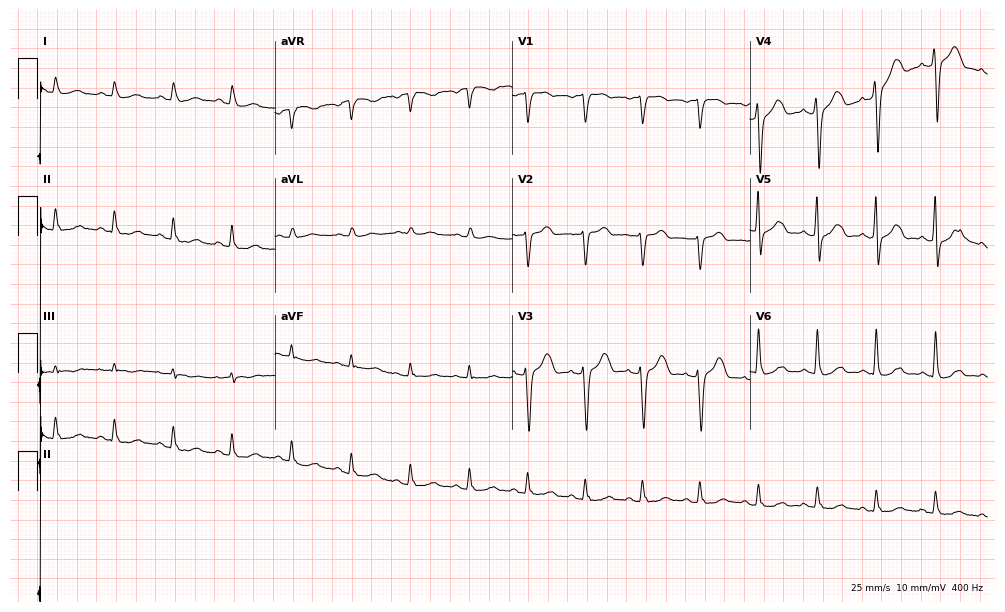
Electrocardiogram (9.7-second recording at 400 Hz), a 53-year-old man. Of the six screened findings (first-degree AV block, right bundle branch block (RBBB), left bundle branch block (LBBB), sinus bradycardia, atrial fibrillation (AF), sinus tachycardia), none is recorded.